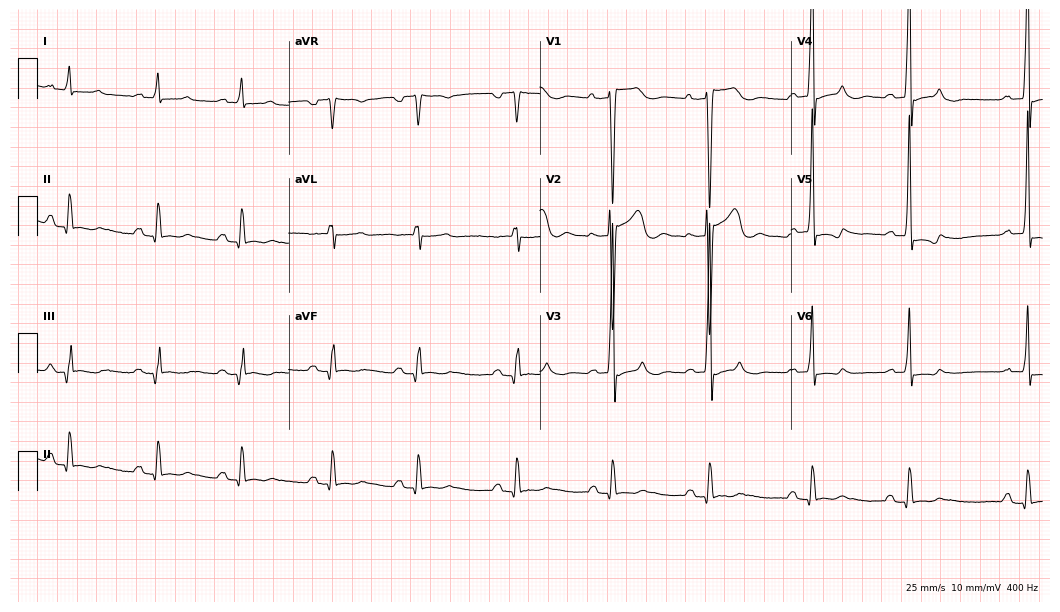
Standard 12-lead ECG recorded from a male patient, 50 years old. None of these six findings is recorded: first-degree AV block, right bundle branch block, left bundle branch block, sinus bradycardia, atrial fibrillation, sinus tachycardia. Findings outside these six are not listed.